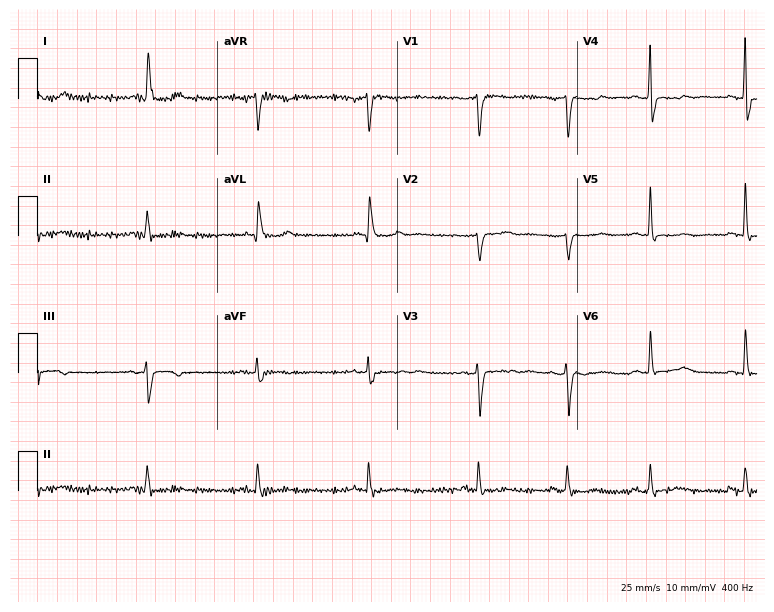
Resting 12-lead electrocardiogram. Patient: a 69-year-old woman. None of these six findings is recorded: first-degree AV block, right bundle branch block, left bundle branch block, sinus bradycardia, atrial fibrillation, sinus tachycardia. Other findings, if any, are not listed.